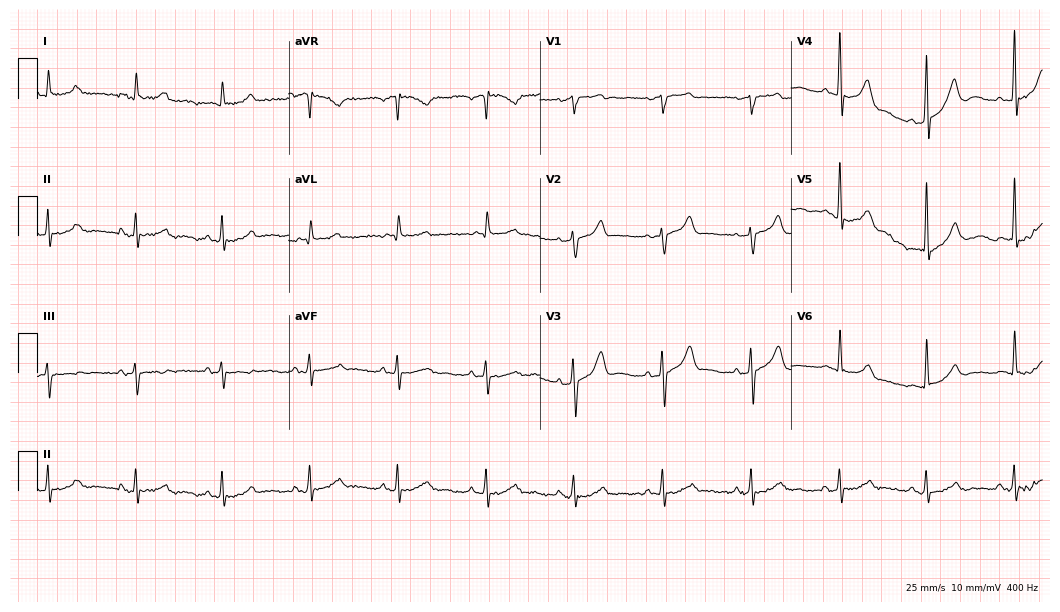
12-lead ECG from a 76-year-old man. Recorded interpretation: within normal limits.